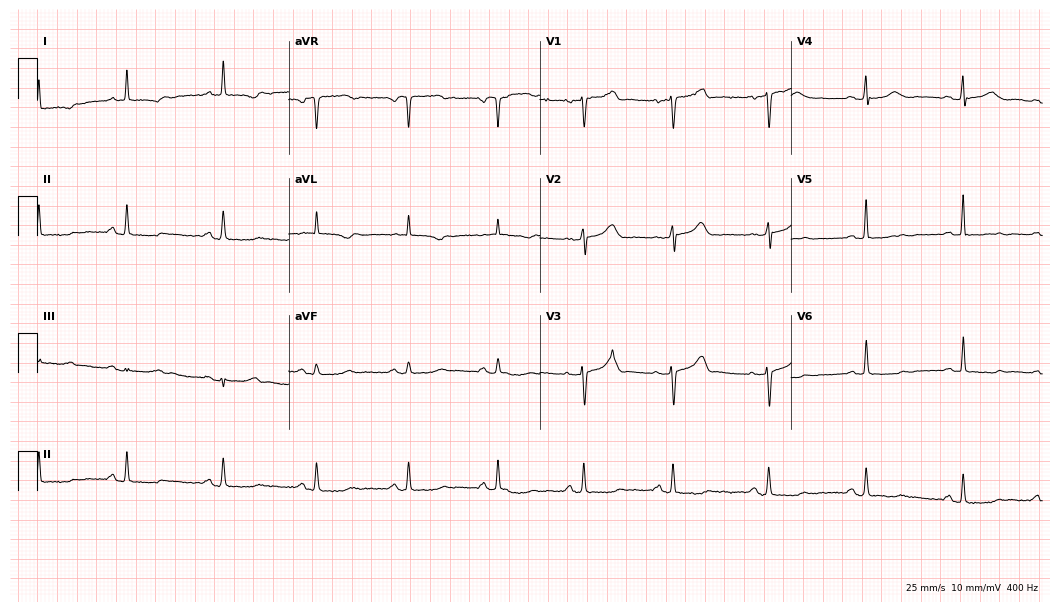
12-lead ECG from a 58-year-old female. Screened for six findings — first-degree AV block, right bundle branch block, left bundle branch block, sinus bradycardia, atrial fibrillation, sinus tachycardia — none is recorded.